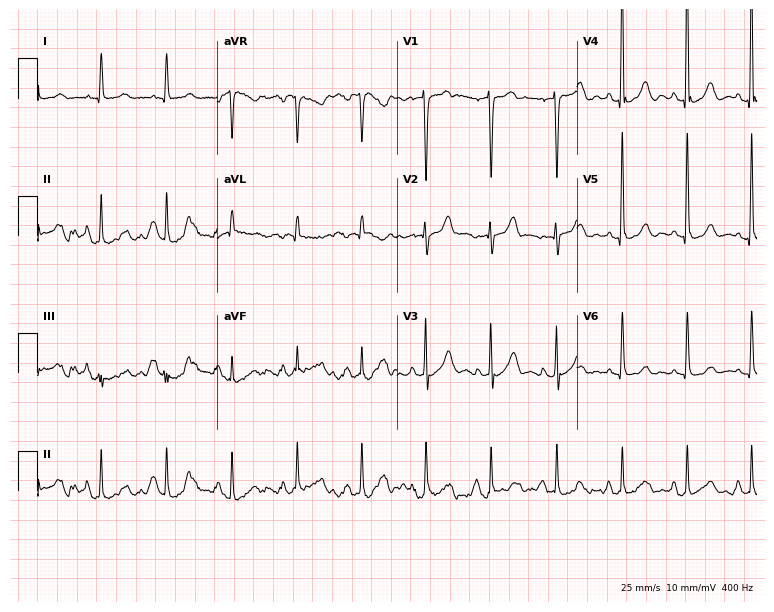
12-lead ECG (7.3-second recording at 400 Hz) from a female patient, 54 years old. Labelled as a normal ECG.